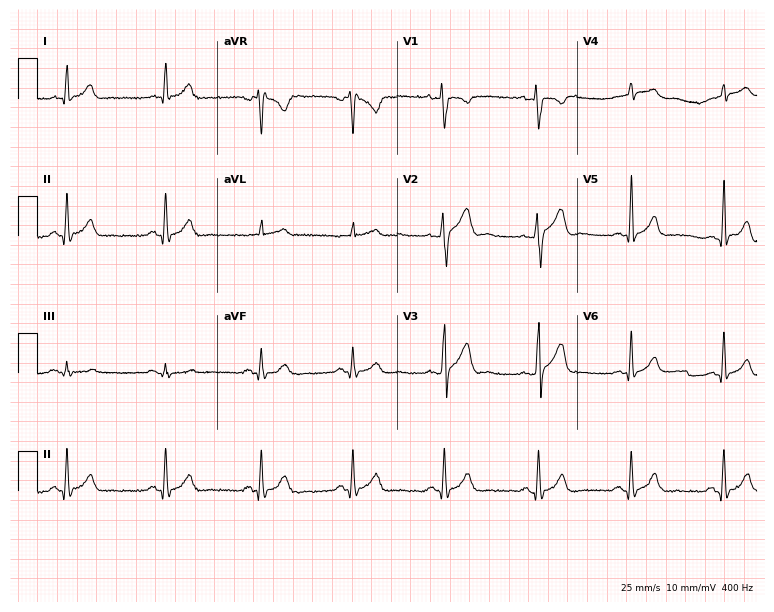
ECG (7.3-second recording at 400 Hz) — a male patient, 34 years old. Screened for six findings — first-degree AV block, right bundle branch block, left bundle branch block, sinus bradycardia, atrial fibrillation, sinus tachycardia — none is recorded.